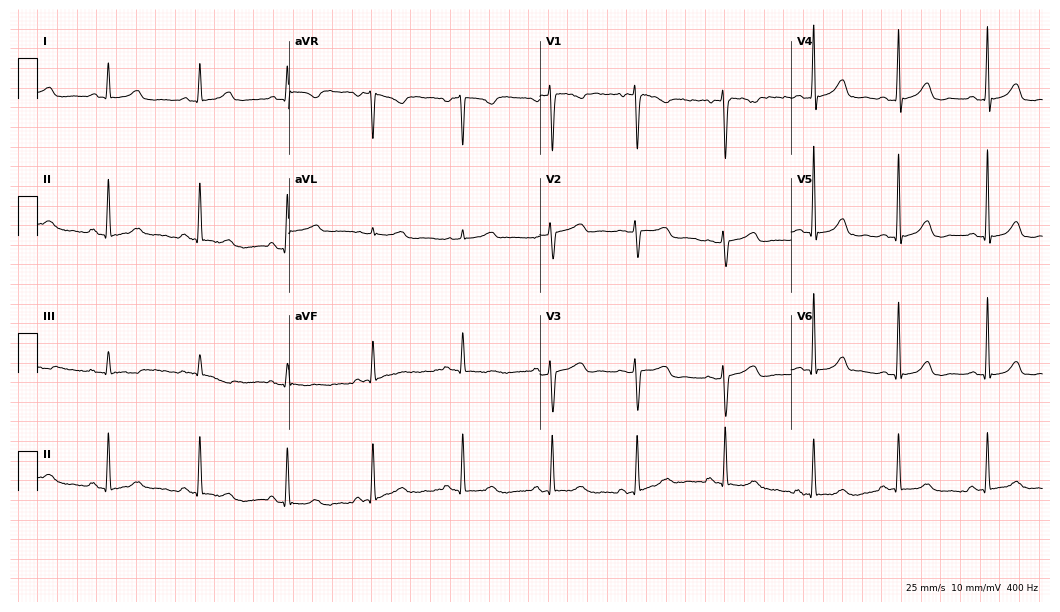
12-lead ECG from a 36-year-old female patient. Labelled as a normal ECG.